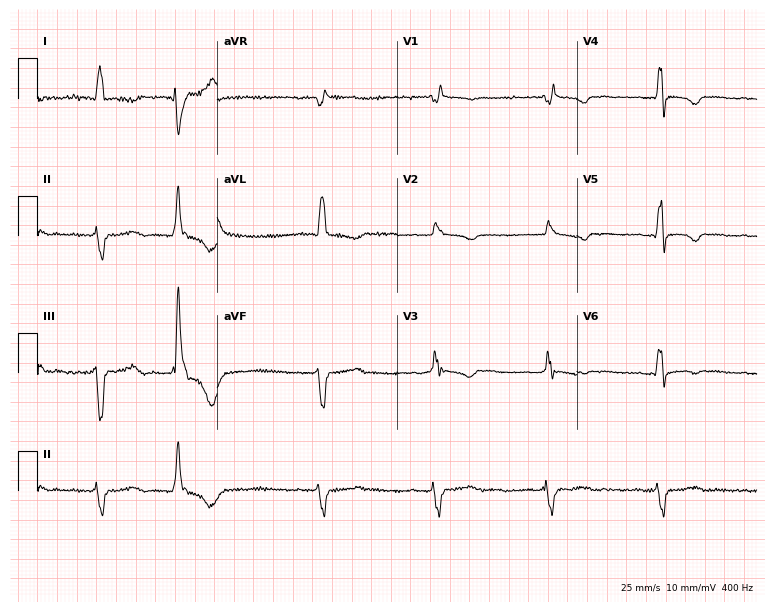
12-lead ECG (7.3-second recording at 400 Hz) from a 59-year-old woman. Findings include right bundle branch block.